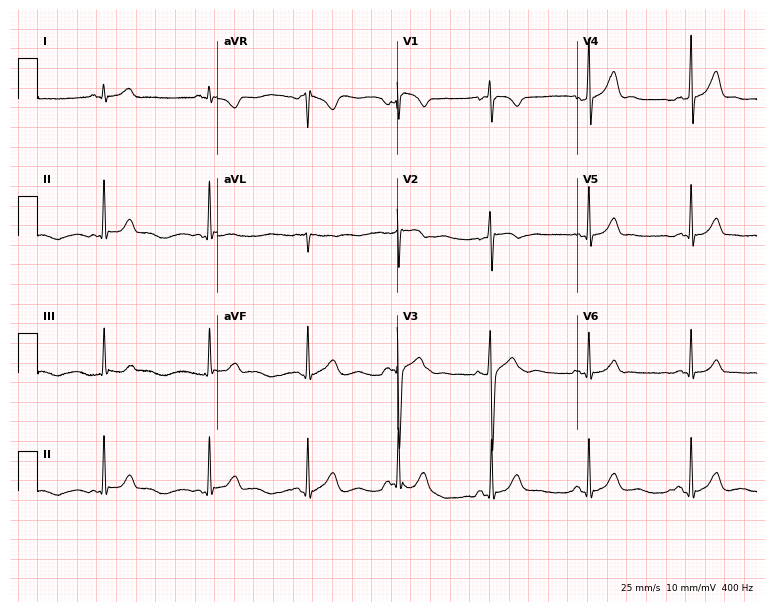
Resting 12-lead electrocardiogram. Patient: a male, 22 years old. Read as a normal ECG.